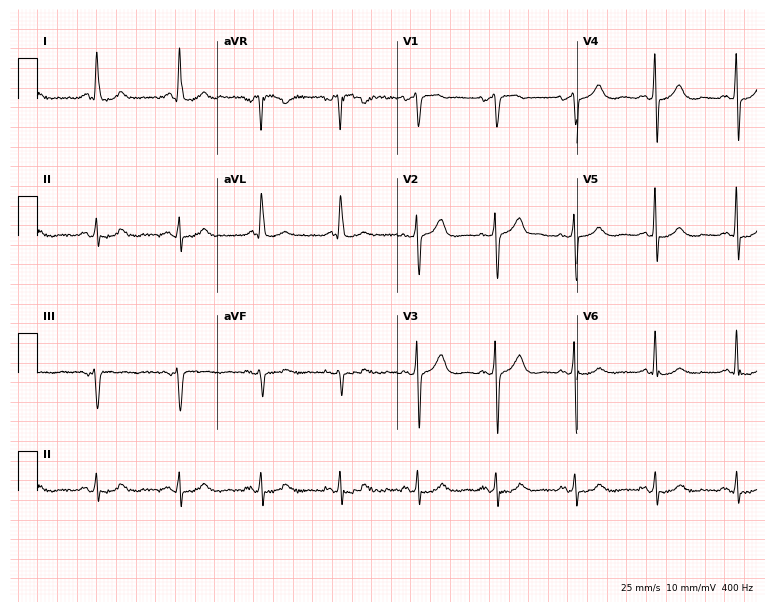
Electrocardiogram (7.3-second recording at 400 Hz), a female, 65 years old. Of the six screened findings (first-degree AV block, right bundle branch block (RBBB), left bundle branch block (LBBB), sinus bradycardia, atrial fibrillation (AF), sinus tachycardia), none is recorded.